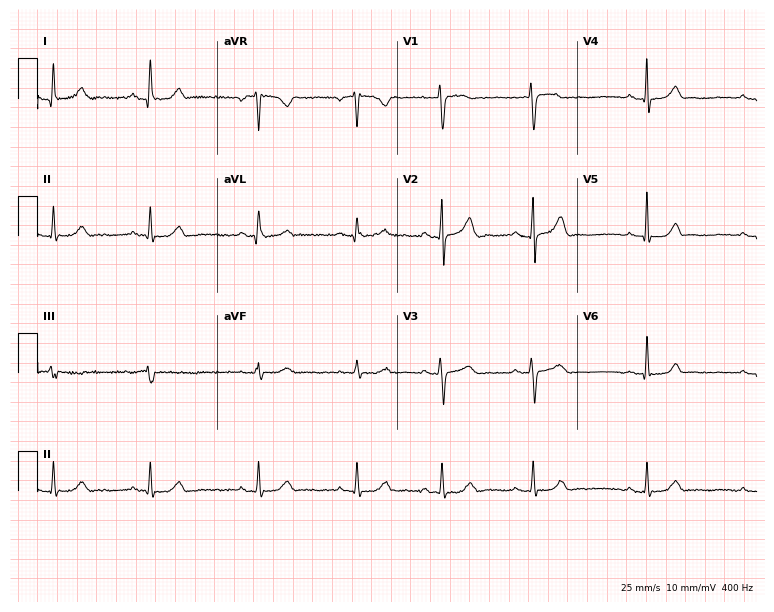
12-lead ECG (7.3-second recording at 400 Hz) from a 37-year-old woman. Labelled as a normal ECG.